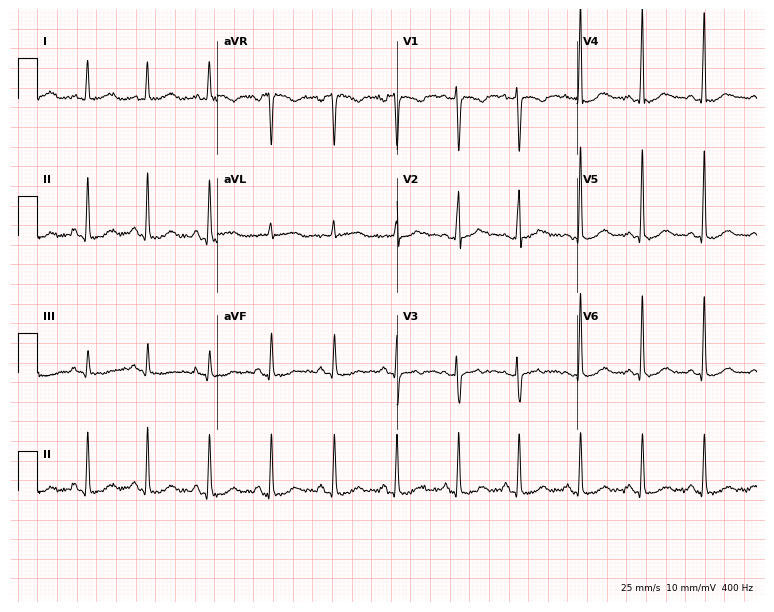
12-lead ECG (7.3-second recording at 400 Hz) from a 37-year-old woman. Screened for six findings — first-degree AV block, right bundle branch block, left bundle branch block, sinus bradycardia, atrial fibrillation, sinus tachycardia — none is recorded. Other findings, if any, are not listed.